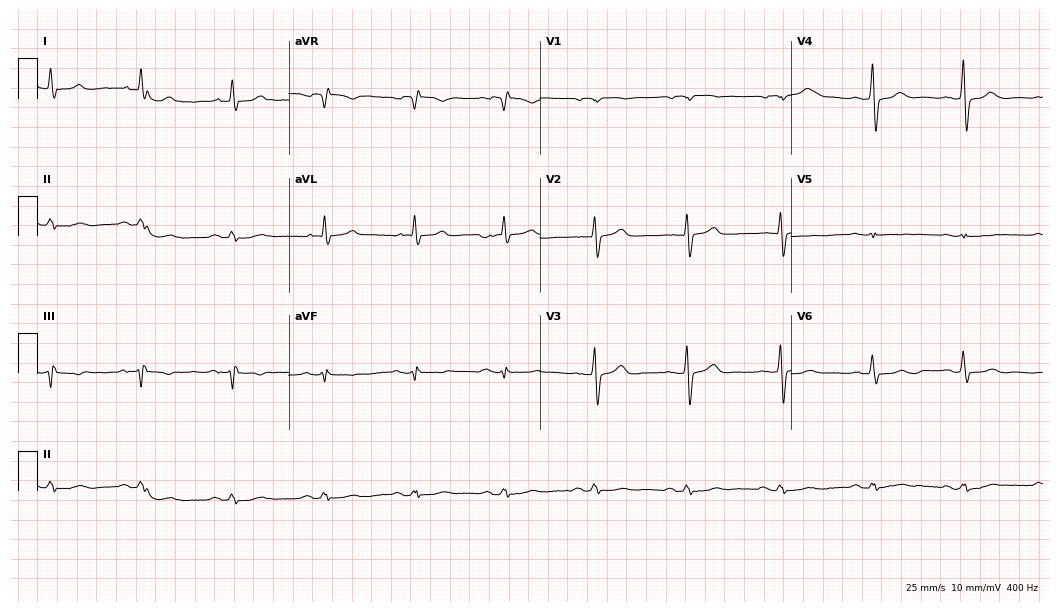
Resting 12-lead electrocardiogram. Patient: a man, 80 years old. None of these six findings is recorded: first-degree AV block, right bundle branch block, left bundle branch block, sinus bradycardia, atrial fibrillation, sinus tachycardia. Other findings, if any, are not listed.